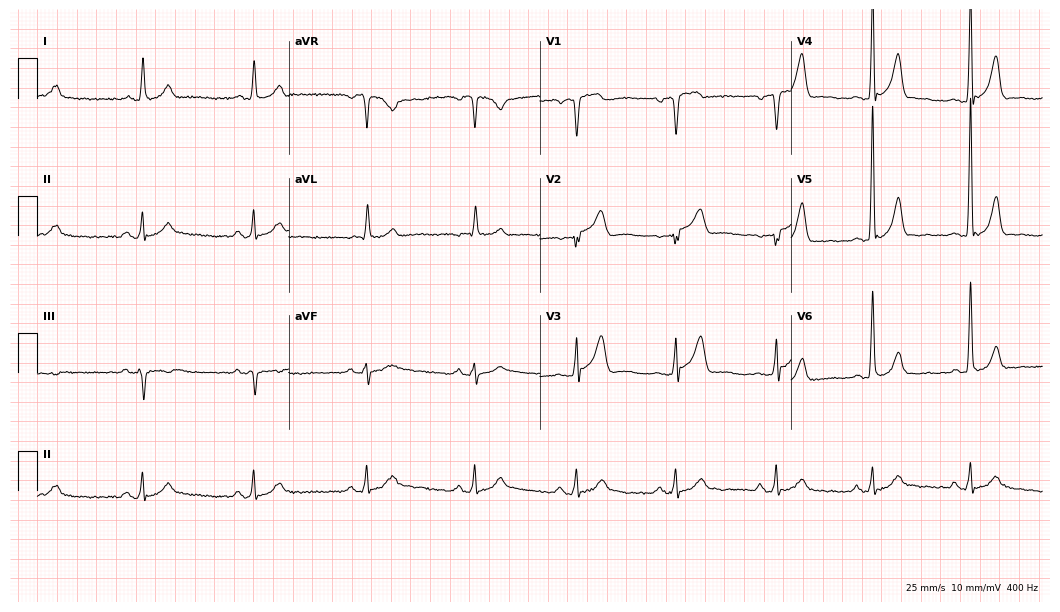
Standard 12-lead ECG recorded from a male, 68 years old. None of these six findings is recorded: first-degree AV block, right bundle branch block (RBBB), left bundle branch block (LBBB), sinus bradycardia, atrial fibrillation (AF), sinus tachycardia.